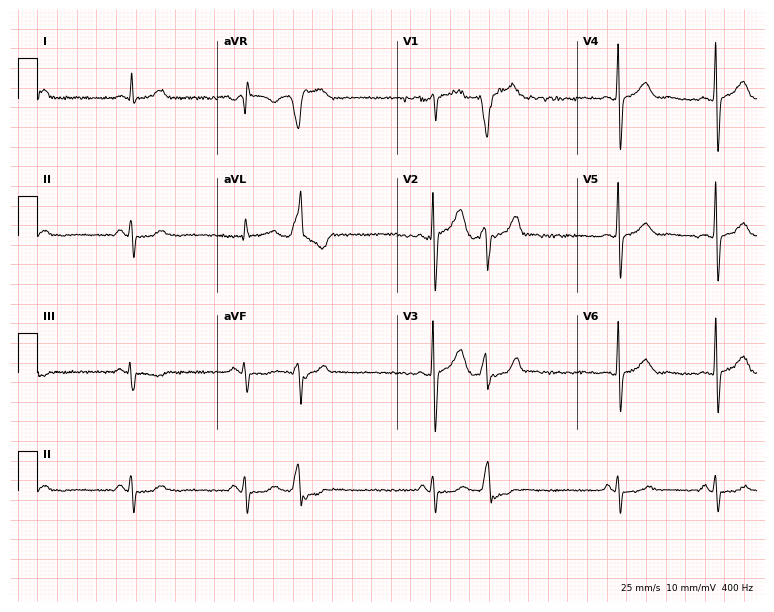
ECG (7.3-second recording at 400 Hz) — a male, 60 years old. Screened for six findings — first-degree AV block, right bundle branch block, left bundle branch block, sinus bradycardia, atrial fibrillation, sinus tachycardia — none is recorded.